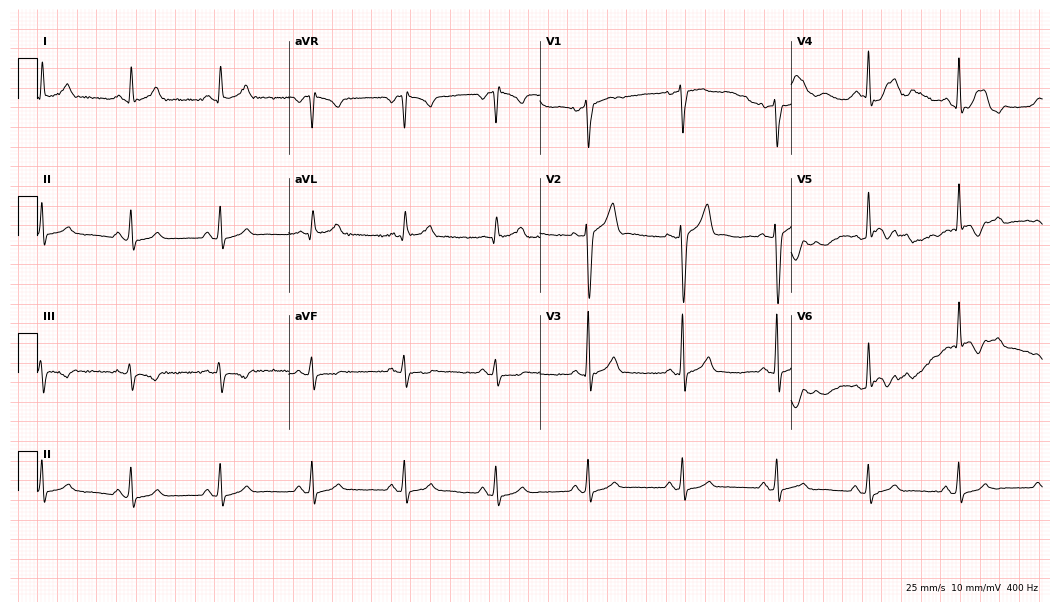
12-lead ECG from a male patient, 48 years old. Recorded interpretation: within normal limits.